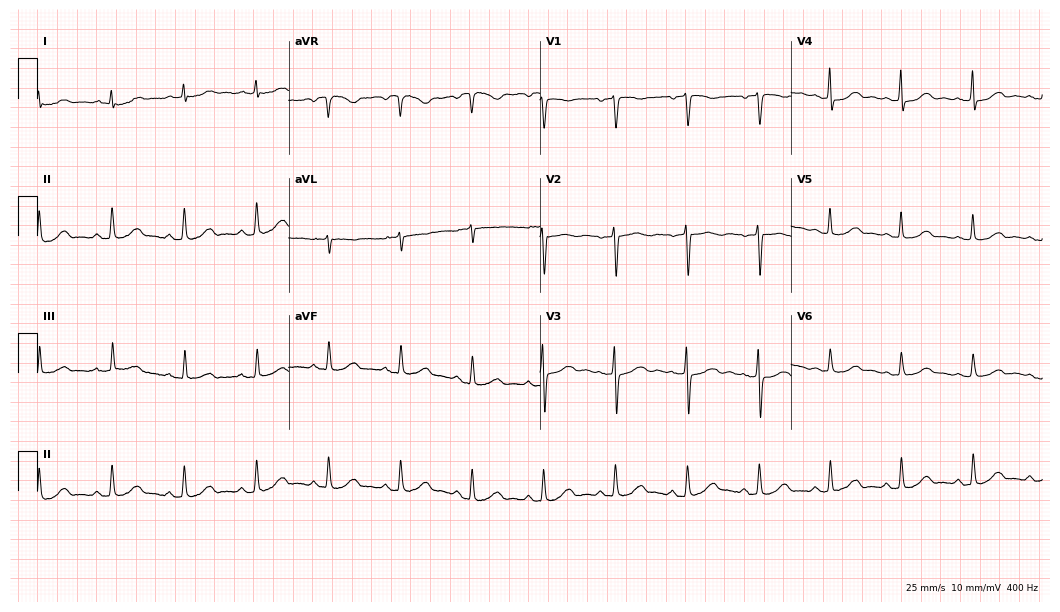
12-lead ECG from a woman, 59 years old. Labelled as a normal ECG.